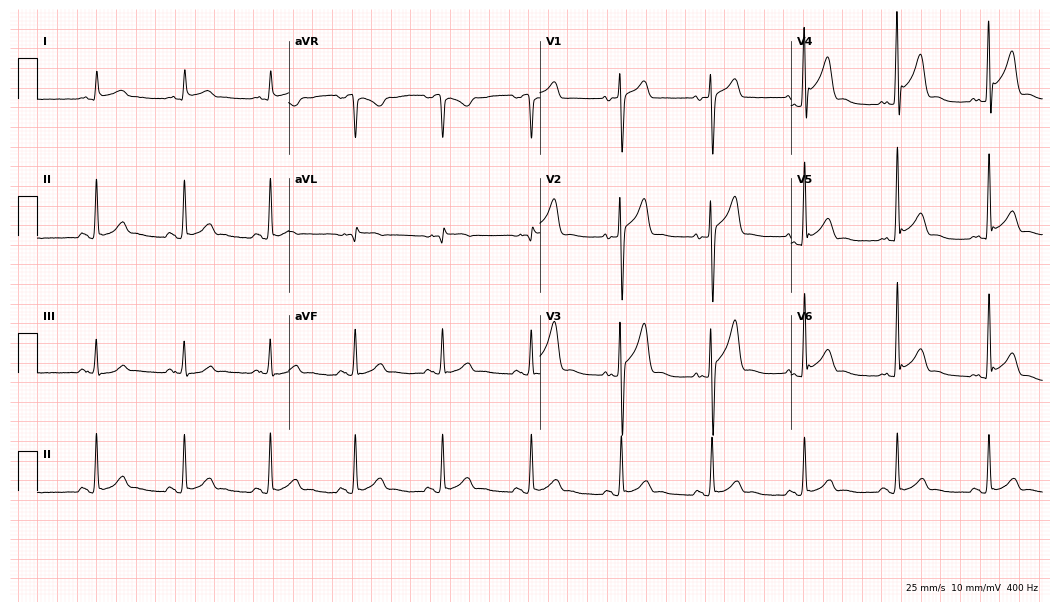
Resting 12-lead electrocardiogram (10.2-second recording at 400 Hz). Patient: a 78-year-old male. None of these six findings is recorded: first-degree AV block, right bundle branch block (RBBB), left bundle branch block (LBBB), sinus bradycardia, atrial fibrillation (AF), sinus tachycardia. Only these six findings were labelled.